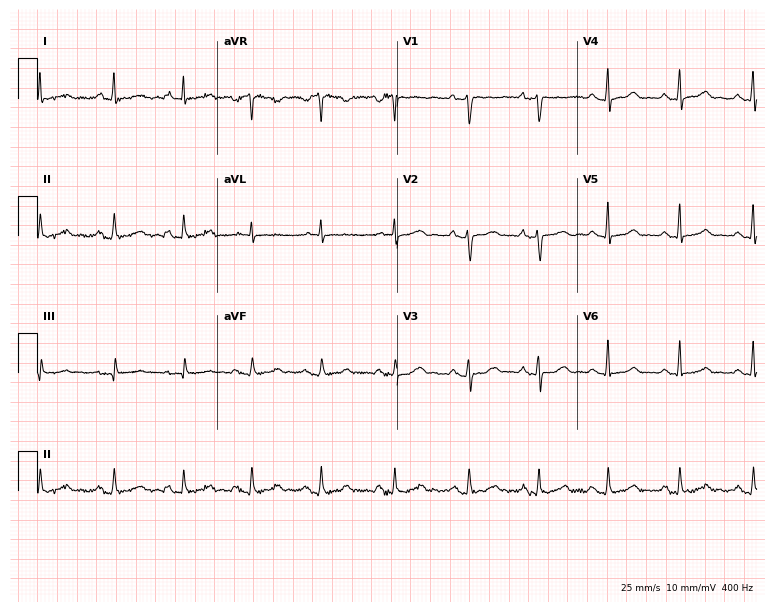
Standard 12-lead ECG recorded from a female, 40 years old (7.3-second recording at 400 Hz). Read as a normal ECG.